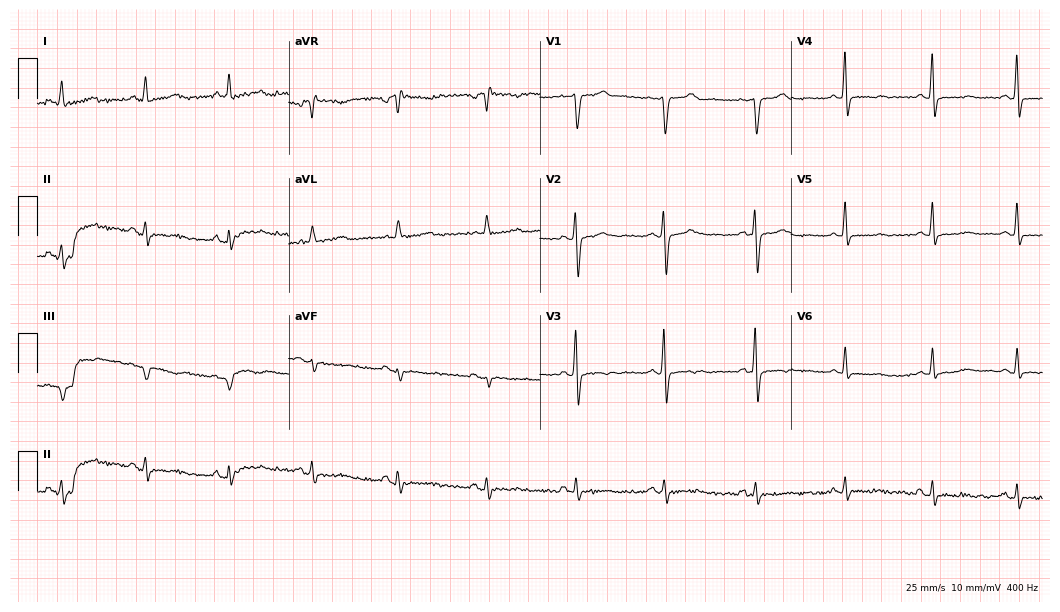
12-lead ECG from a female, 70 years old. Screened for six findings — first-degree AV block, right bundle branch block (RBBB), left bundle branch block (LBBB), sinus bradycardia, atrial fibrillation (AF), sinus tachycardia — none is recorded.